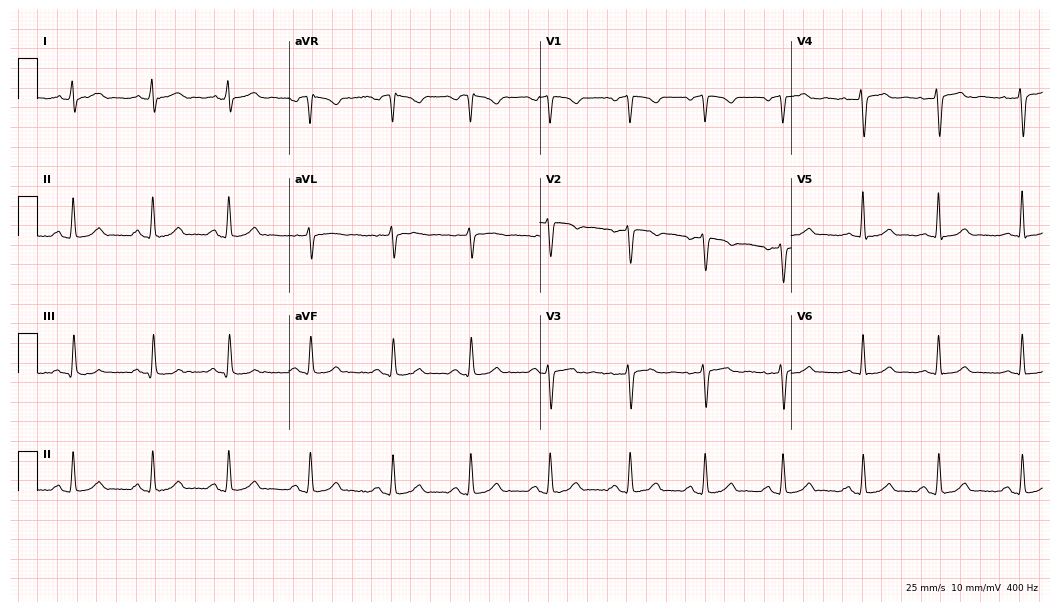
Electrocardiogram (10.2-second recording at 400 Hz), a woman, 32 years old. Overall reading on record: normal ECG.